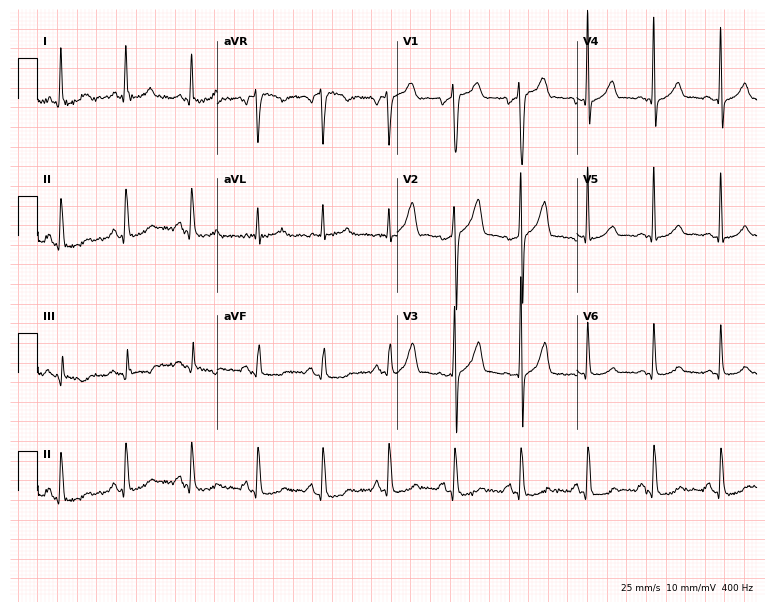
12-lead ECG from a 46-year-old male patient. Screened for six findings — first-degree AV block, right bundle branch block, left bundle branch block, sinus bradycardia, atrial fibrillation, sinus tachycardia — none is recorded. Only these six findings were labelled.